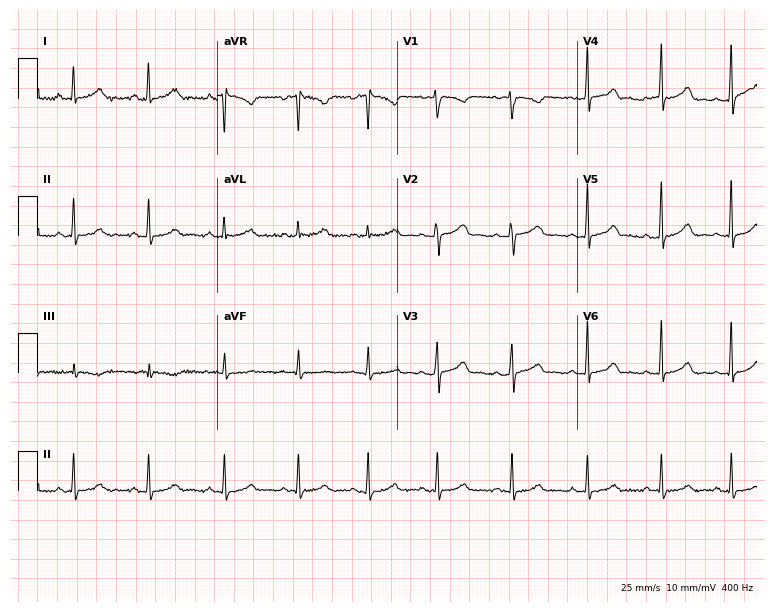
12-lead ECG (7.3-second recording at 400 Hz) from a 23-year-old woman. Labelled as a normal ECG.